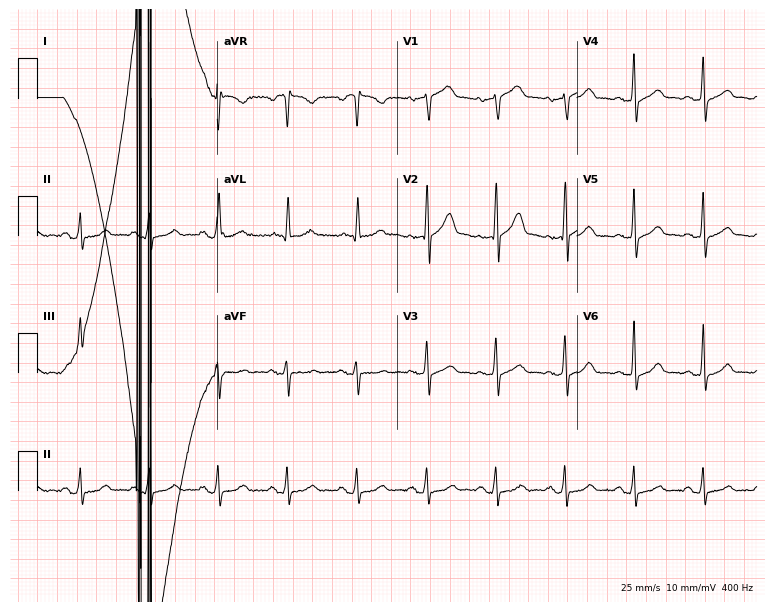
ECG (7.3-second recording at 400 Hz) — a male, 76 years old. Screened for six findings — first-degree AV block, right bundle branch block, left bundle branch block, sinus bradycardia, atrial fibrillation, sinus tachycardia — none is recorded. Only these six findings were labelled.